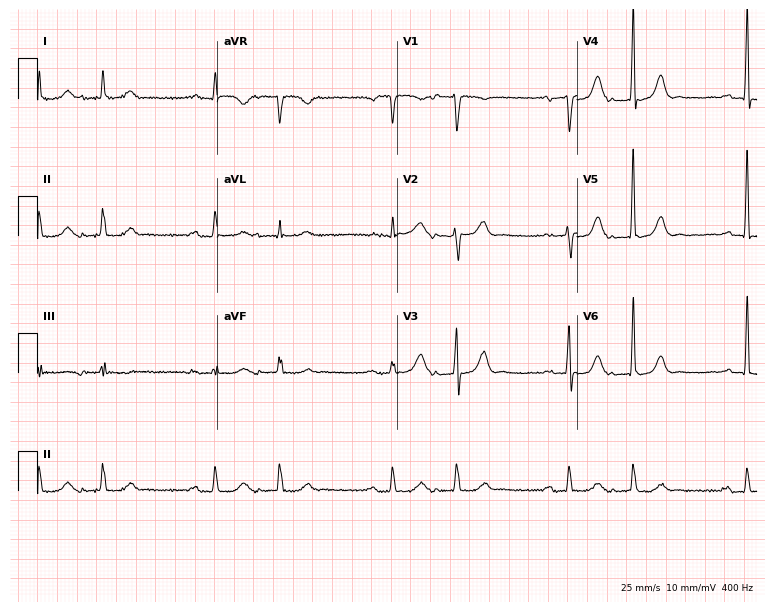
12-lead ECG (7.3-second recording at 400 Hz) from an 80-year-old male patient. Screened for six findings — first-degree AV block, right bundle branch block, left bundle branch block, sinus bradycardia, atrial fibrillation, sinus tachycardia — none is recorded.